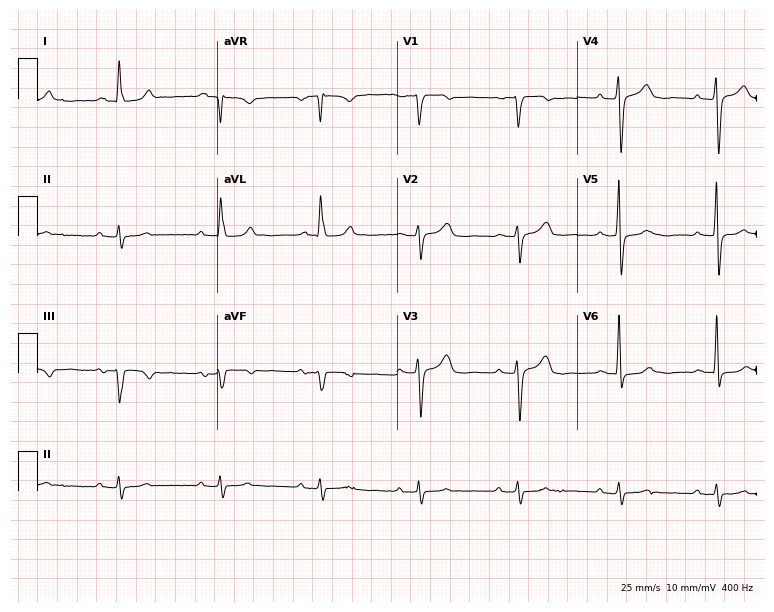
Resting 12-lead electrocardiogram (7.3-second recording at 400 Hz). Patient: a male, 82 years old. None of these six findings is recorded: first-degree AV block, right bundle branch block, left bundle branch block, sinus bradycardia, atrial fibrillation, sinus tachycardia. Other findings, if any, are not listed.